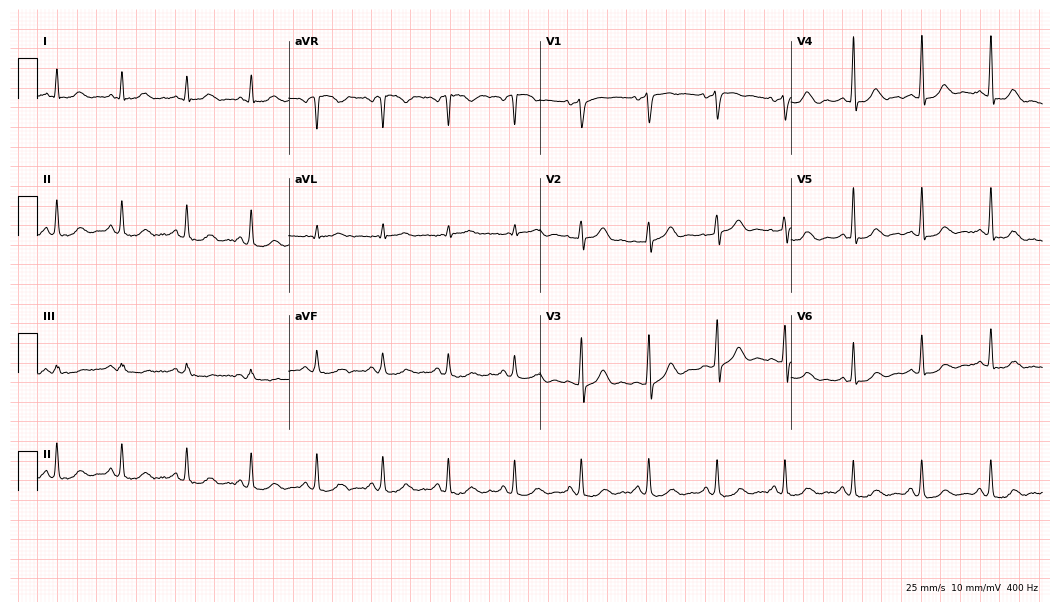
Electrocardiogram, a 69-year-old male patient. Overall reading on record: normal ECG.